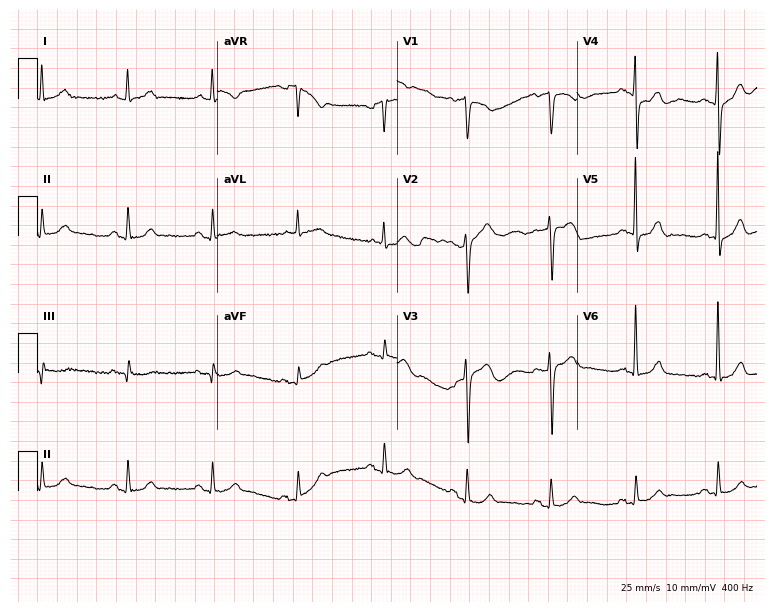
12-lead ECG (7.3-second recording at 400 Hz) from a female, 68 years old. Labelled as a normal ECG.